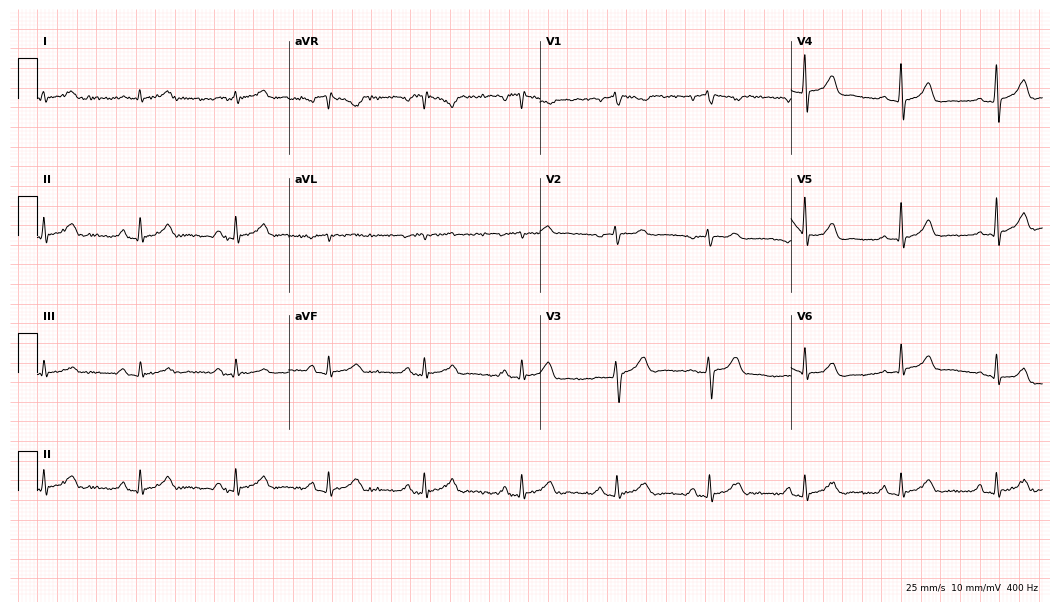
12-lead ECG from a 40-year-old woman. Labelled as a normal ECG.